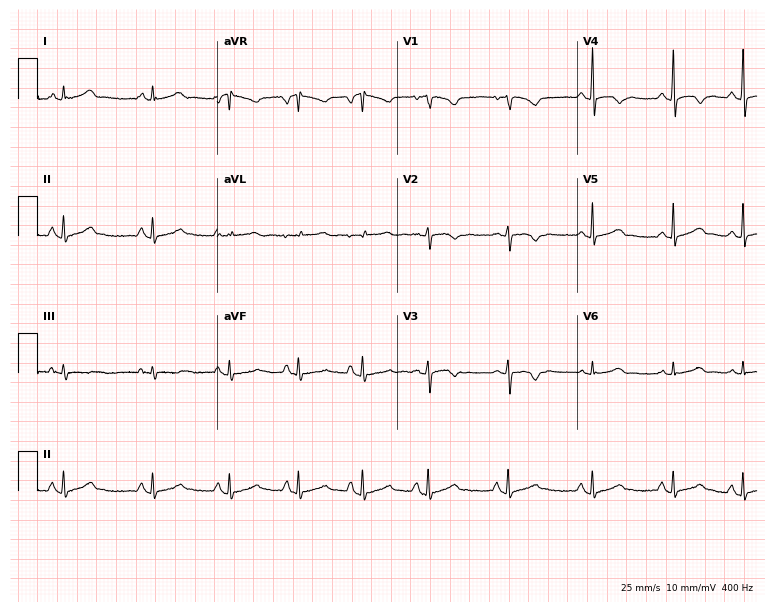
Resting 12-lead electrocardiogram. Patient: a female, 22 years old. None of these six findings is recorded: first-degree AV block, right bundle branch block (RBBB), left bundle branch block (LBBB), sinus bradycardia, atrial fibrillation (AF), sinus tachycardia.